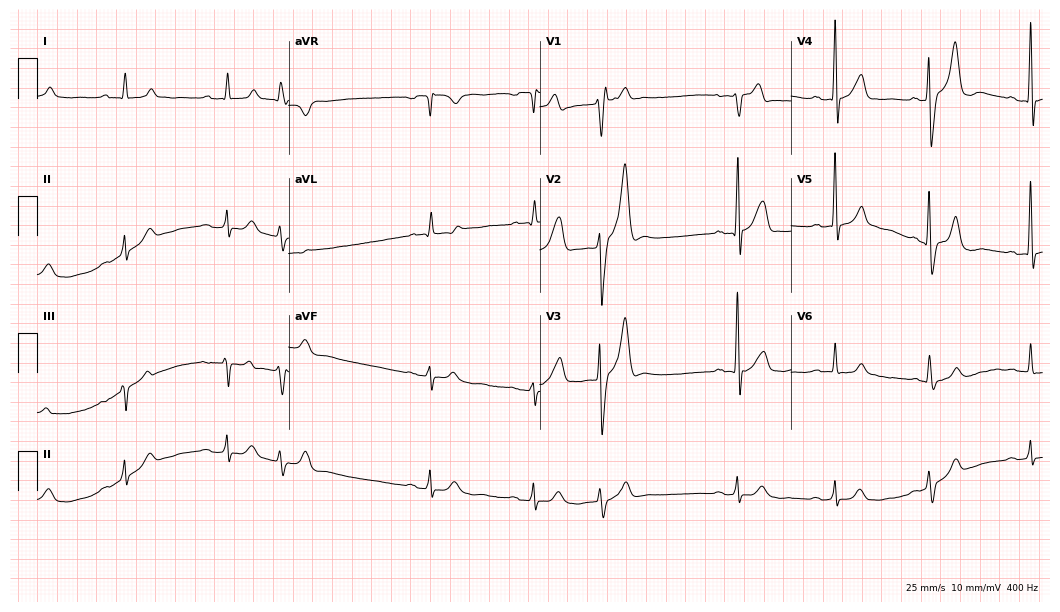
12-lead ECG from a male patient, 84 years old. Screened for six findings — first-degree AV block, right bundle branch block, left bundle branch block, sinus bradycardia, atrial fibrillation, sinus tachycardia — none is recorded. Only these six findings were labelled.